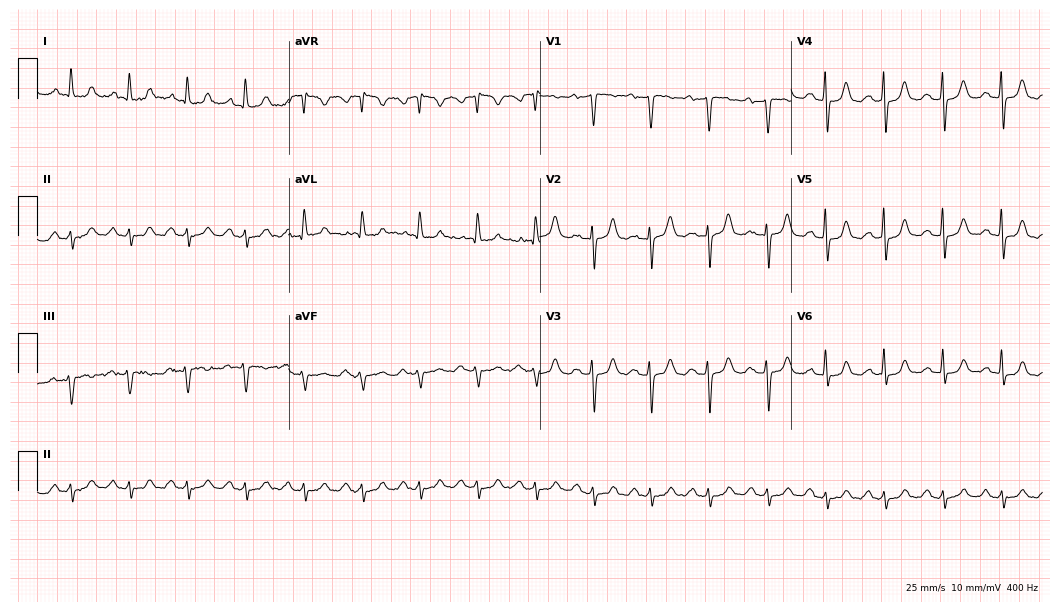
Standard 12-lead ECG recorded from a 62-year-old male. None of these six findings is recorded: first-degree AV block, right bundle branch block, left bundle branch block, sinus bradycardia, atrial fibrillation, sinus tachycardia. Only these six findings were labelled.